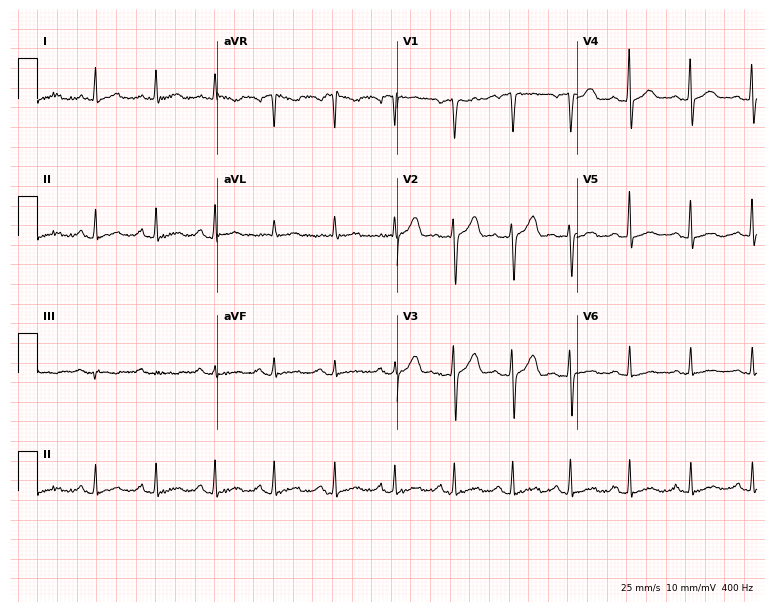
ECG — a male, 45 years old. Screened for six findings — first-degree AV block, right bundle branch block, left bundle branch block, sinus bradycardia, atrial fibrillation, sinus tachycardia — none is recorded.